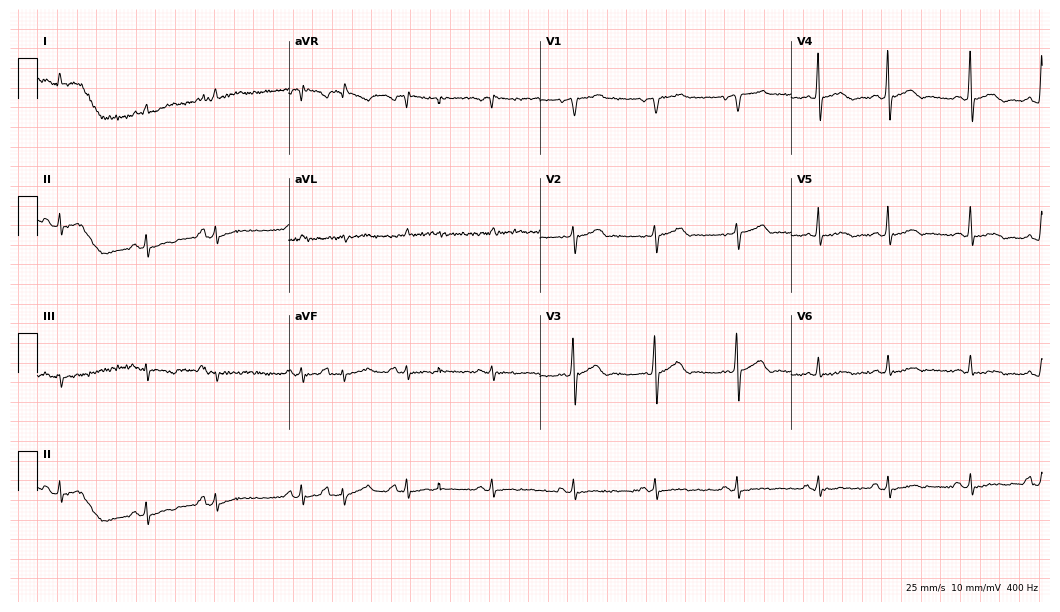
Electrocardiogram (10.2-second recording at 400 Hz), an 85-year-old man. Of the six screened findings (first-degree AV block, right bundle branch block, left bundle branch block, sinus bradycardia, atrial fibrillation, sinus tachycardia), none is recorded. Only these six findings were labelled.